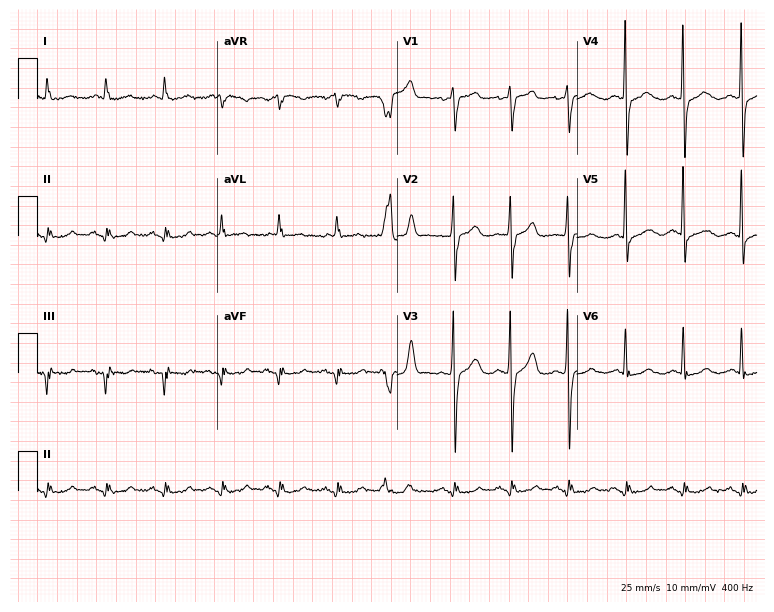
Standard 12-lead ECG recorded from a 75-year-old female patient (7.3-second recording at 400 Hz). None of these six findings is recorded: first-degree AV block, right bundle branch block (RBBB), left bundle branch block (LBBB), sinus bradycardia, atrial fibrillation (AF), sinus tachycardia. Findings outside these six are not listed.